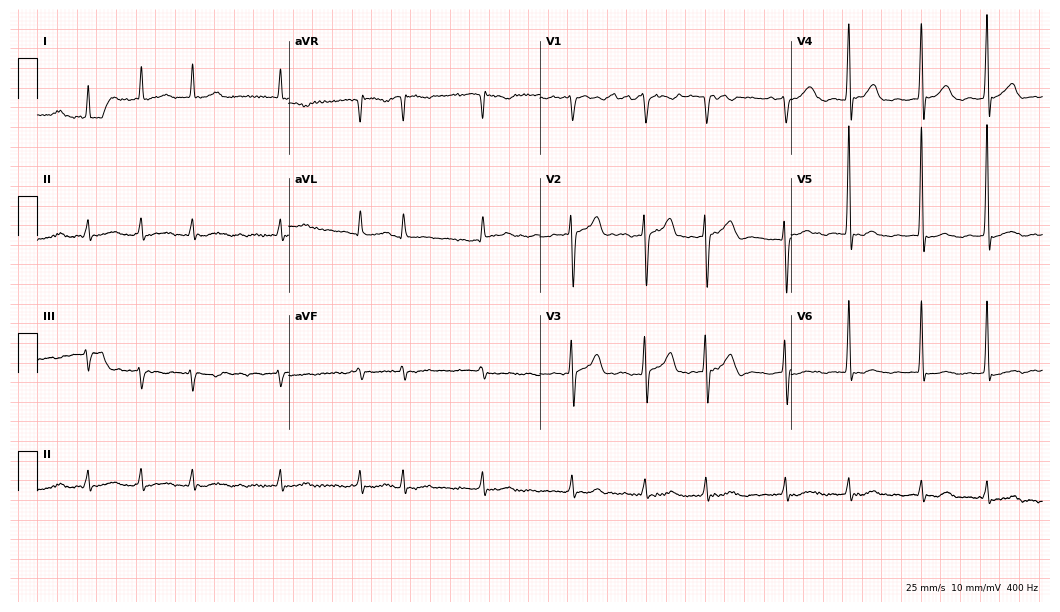
12-lead ECG from a 76-year-old male. Findings include atrial fibrillation.